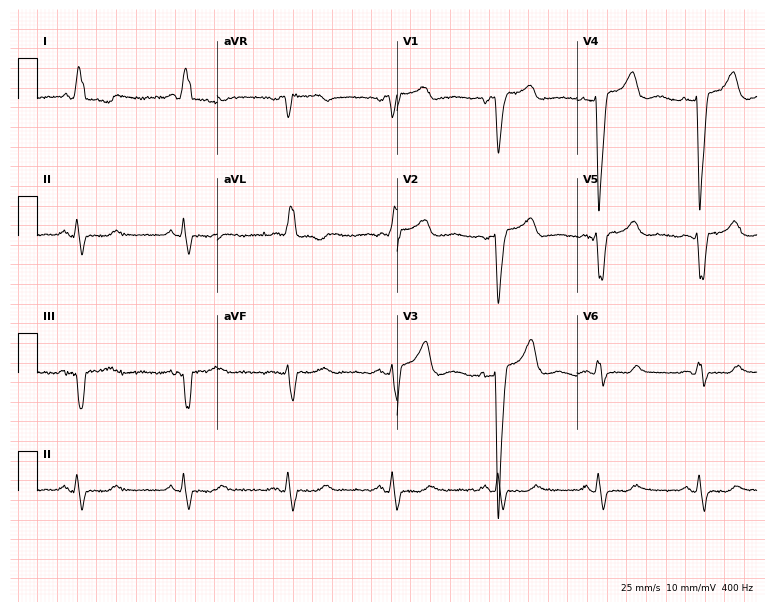
ECG — an 82-year-old female. Findings include left bundle branch block.